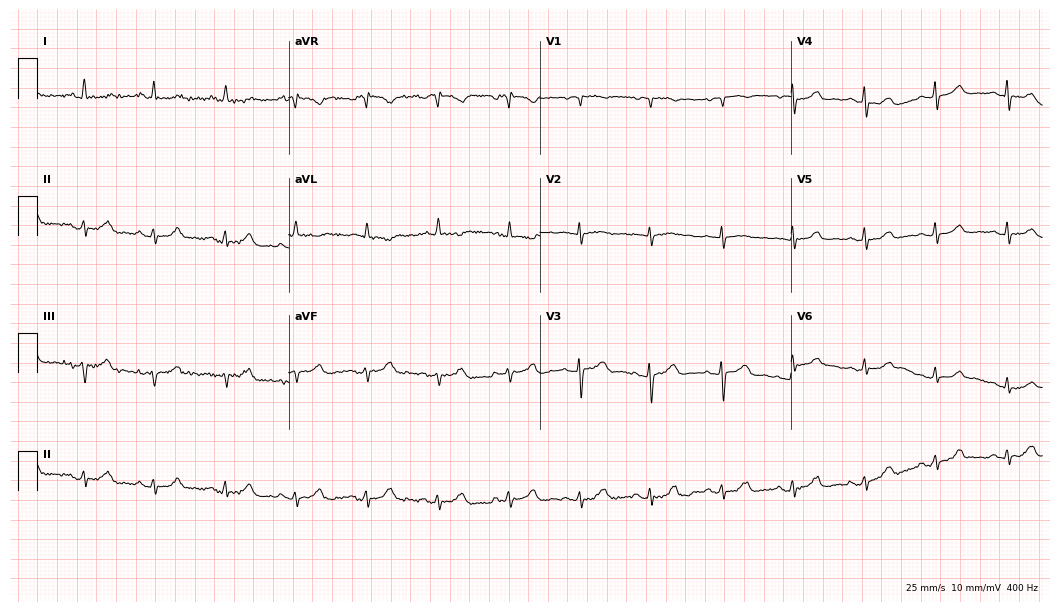
Electrocardiogram, a female patient, 82 years old. Of the six screened findings (first-degree AV block, right bundle branch block (RBBB), left bundle branch block (LBBB), sinus bradycardia, atrial fibrillation (AF), sinus tachycardia), none is recorded. Other findings, if any, are not listed.